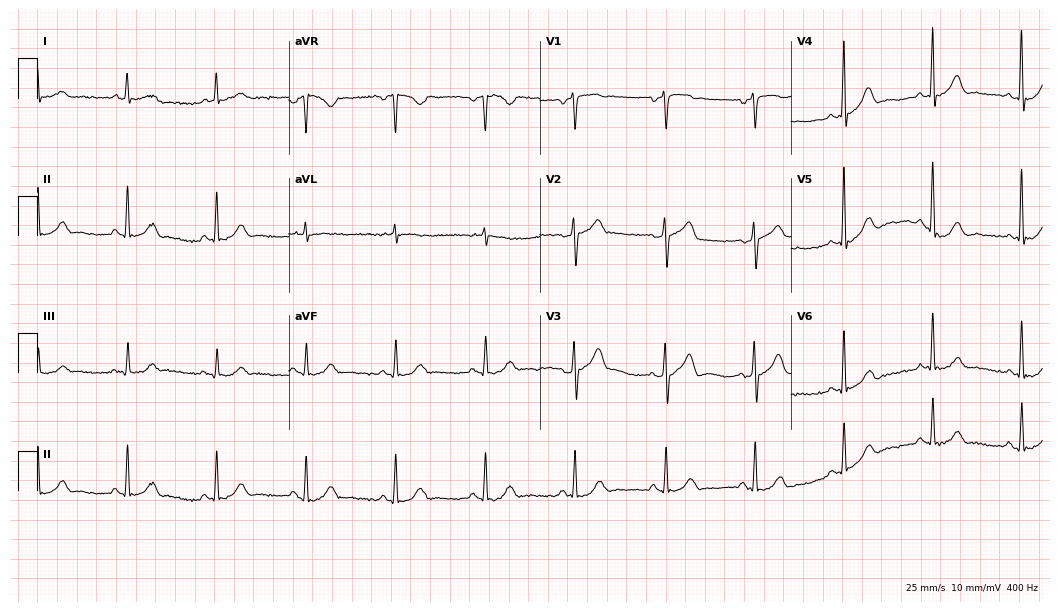
12-lead ECG from a male, 79 years old (10.2-second recording at 400 Hz). Recorded interpretation: within normal limits.